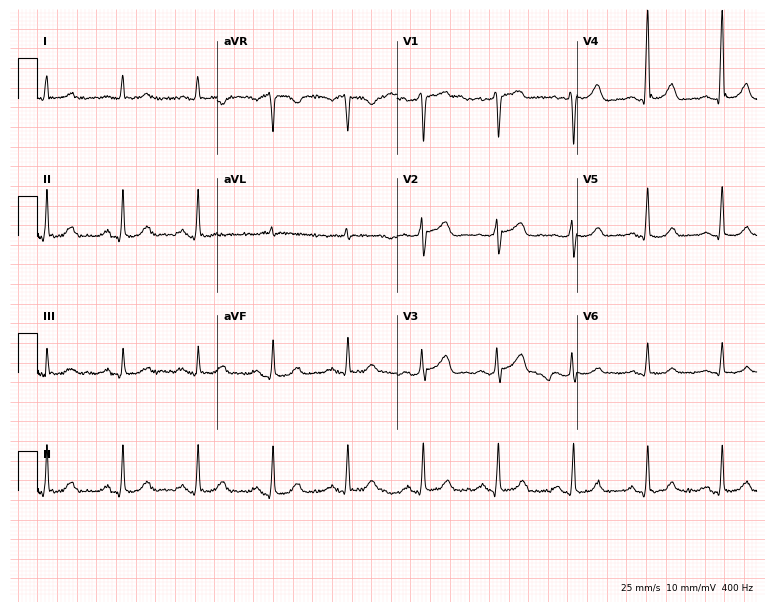
ECG (7.3-second recording at 400 Hz) — a 62-year-old male. Labelled as a normal ECG.